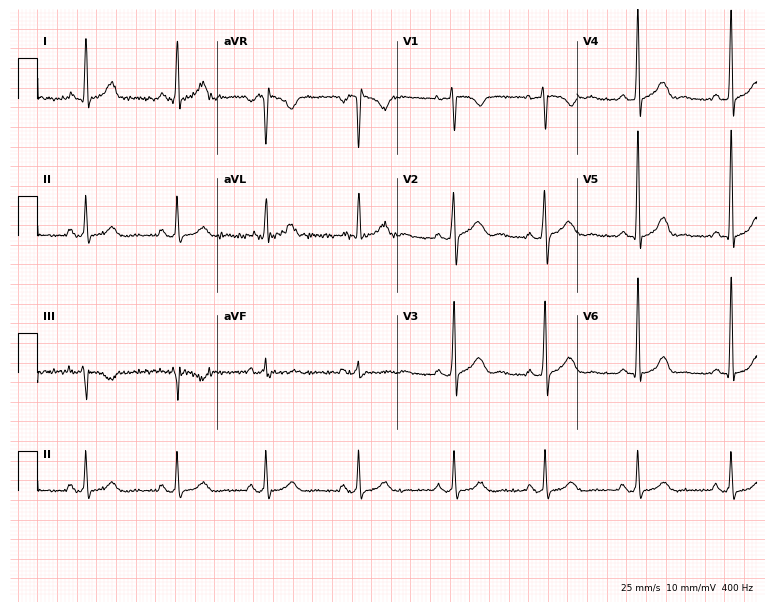
Electrocardiogram (7.3-second recording at 400 Hz), a female patient, 33 years old. Of the six screened findings (first-degree AV block, right bundle branch block, left bundle branch block, sinus bradycardia, atrial fibrillation, sinus tachycardia), none is recorded.